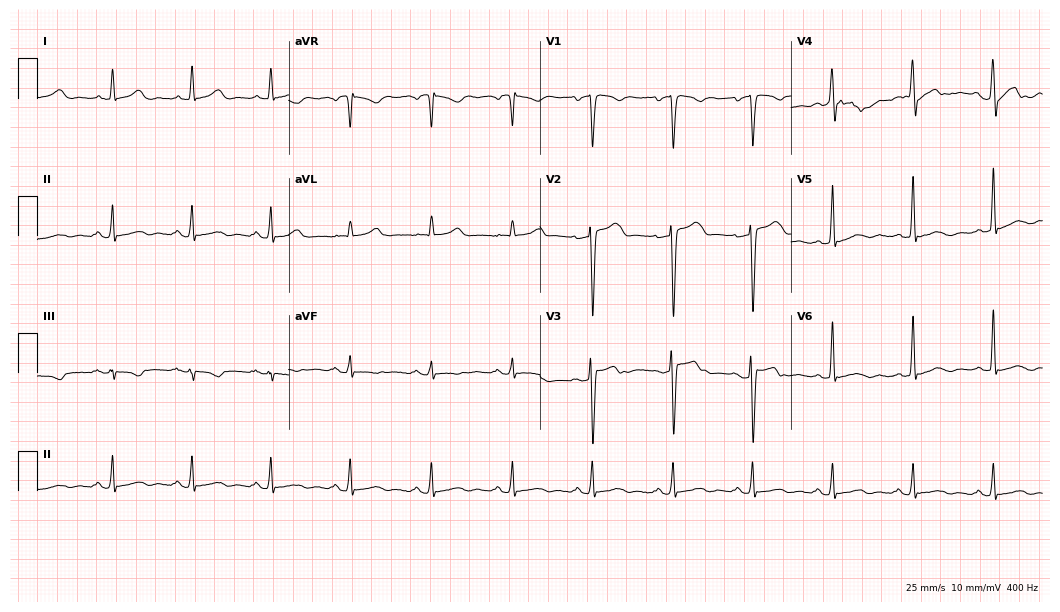
Electrocardiogram, a 56-year-old male. Of the six screened findings (first-degree AV block, right bundle branch block (RBBB), left bundle branch block (LBBB), sinus bradycardia, atrial fibrillation (AF), sinus tachycardia), none is recorded.